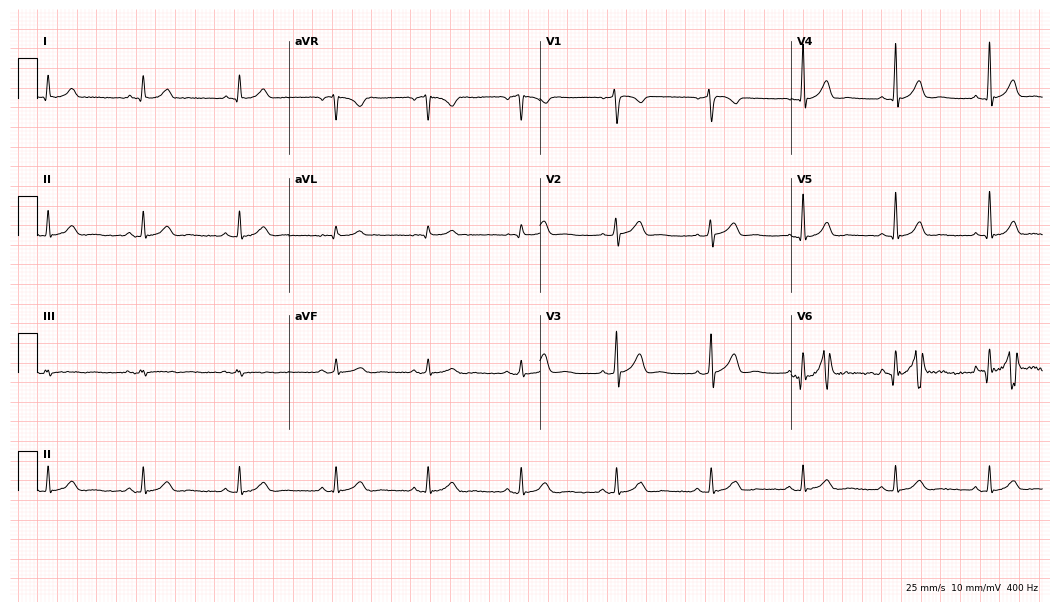
Resting 12-lead electrocardiogram (10.2-second recording at 400 Hz). Patient: a 38-year-old male. Read as a normal ECG.